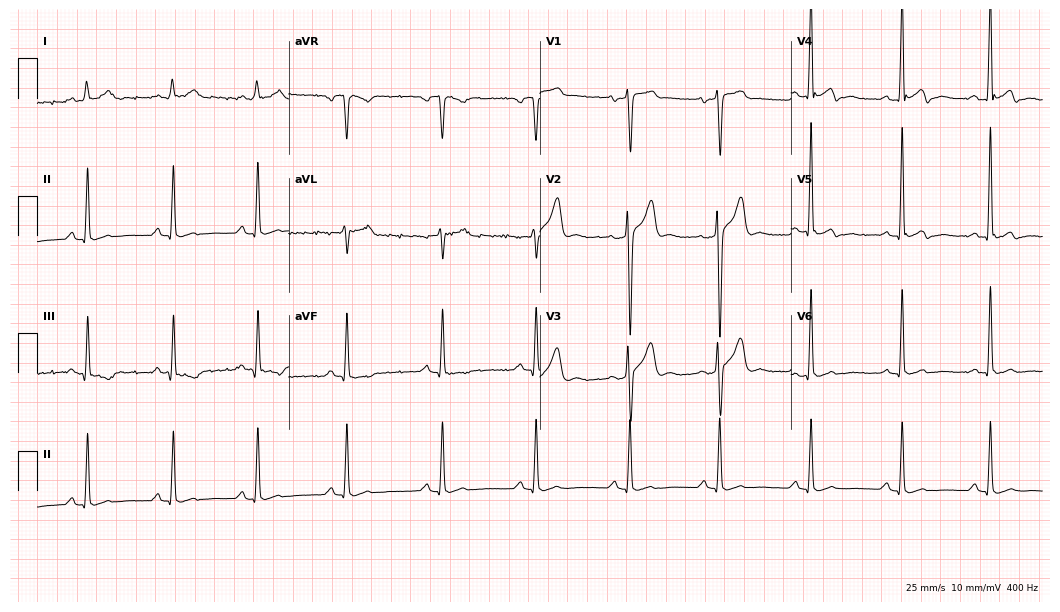
Standard 12-lead ECG recorded from a man, 24 years old. Read as a normal ECG.